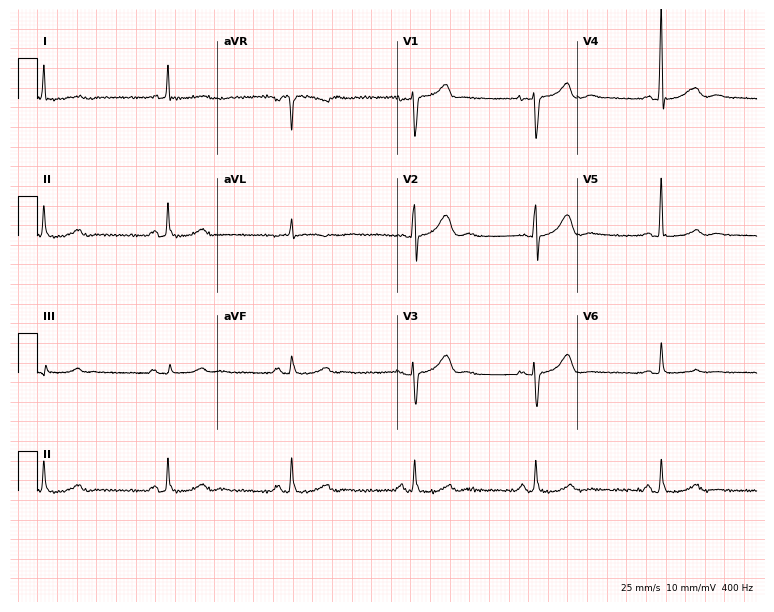
Electrocardiogram, a male patient, 71 years old. Overall reading on record: normal ECG.